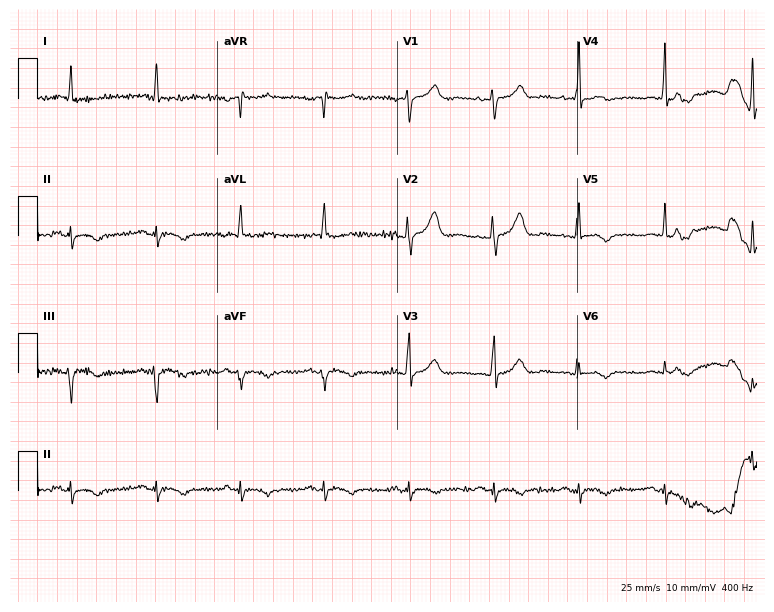
Electrocardiogram, a female patient, 67 years old. Of the six screened findings (first-degree AV block, right bundle branch block, left bundle branch block, sinus bradycardia, atrial fibrillation, sinus tachycardia), none is recorded.